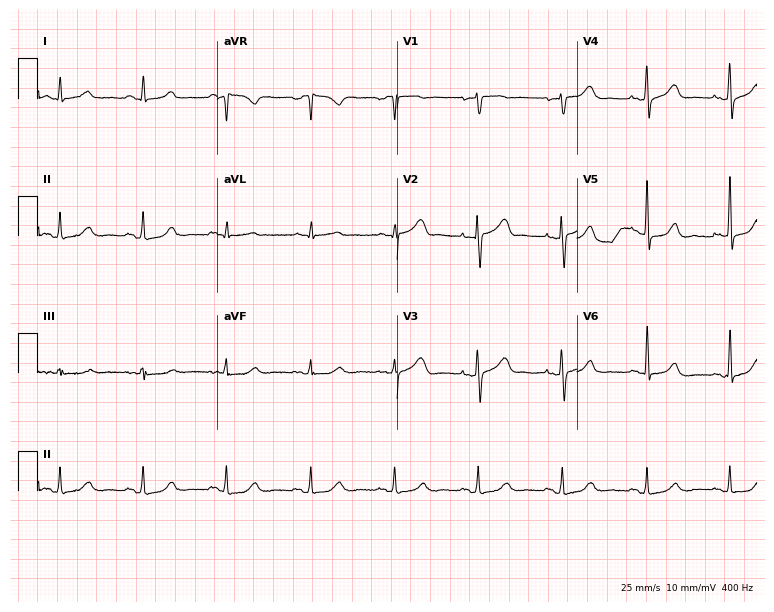
Electrocardiogram (7.3-second recording at 400 Hz), a female, 71 years old. Overall reading on record: normal ECG.